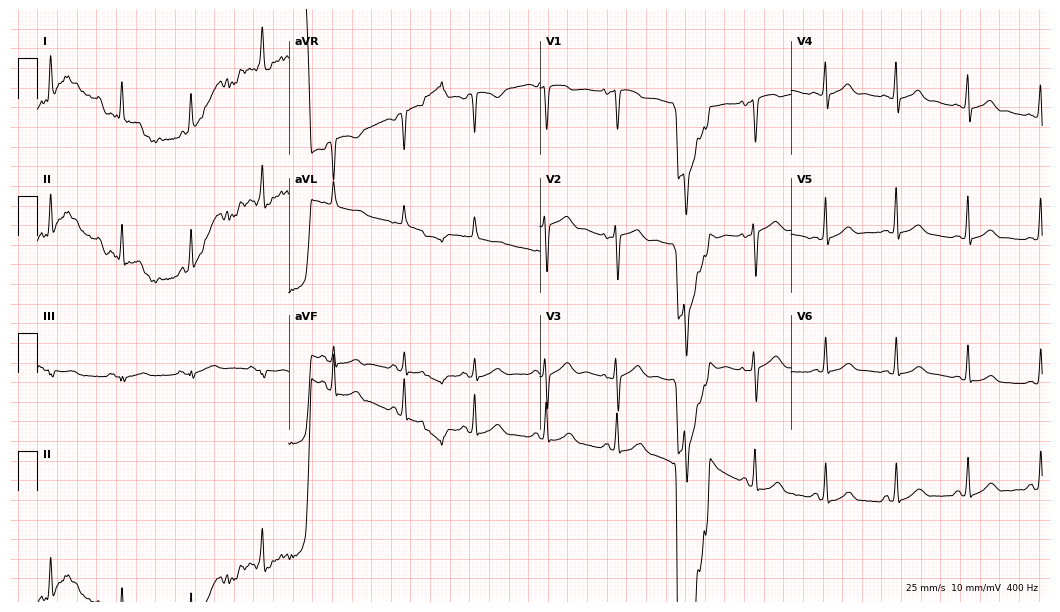
ECG (10.2-second recording at 400 Hz) — a woman, 41 years old. Screened for six findings — first-degree AV block, right bundle branch block, left bundle branch block, sinus bradycardia, atrial fibrillation, sinus tachycardia — none is recorded.